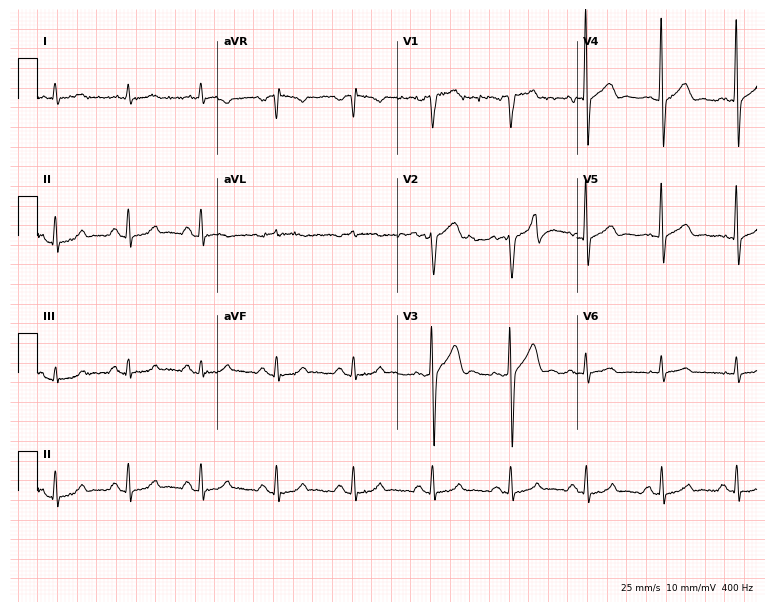
12-lead ECG (7.3-second recording at 400 Hz) from a 52-year-old male patient. Screened for six findings — first-degree AV block, right bundle branch block, left bundle branch block, sinus bradycardia, atrial fibrillation, sinus tachycardia — none is recorded. Only these six findings were labelled.